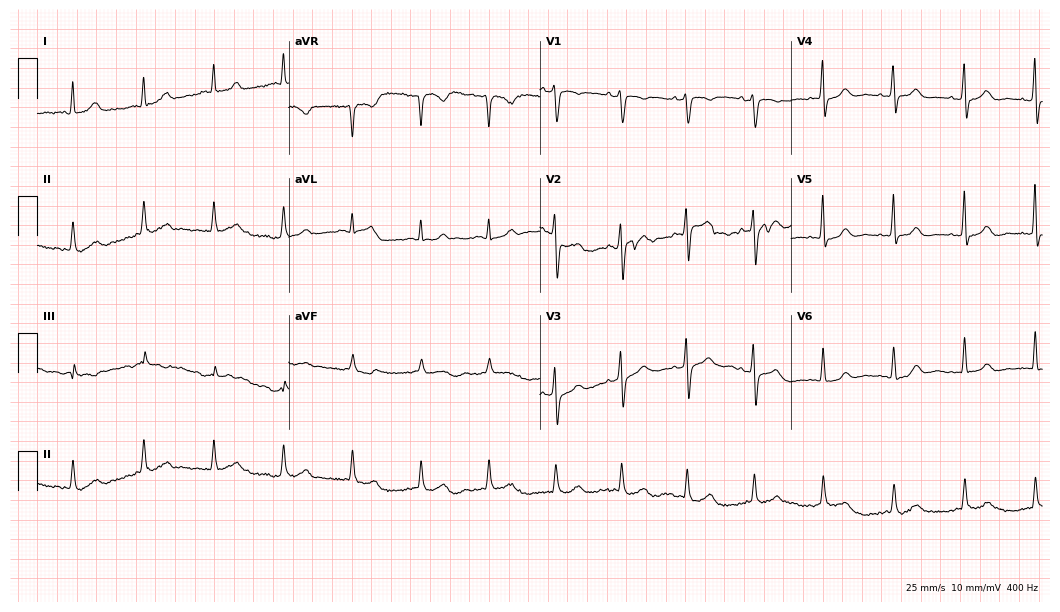
Resting 12-lead electrocardiogram. Patient: a 66-year-old female. Read as a normal ECG.